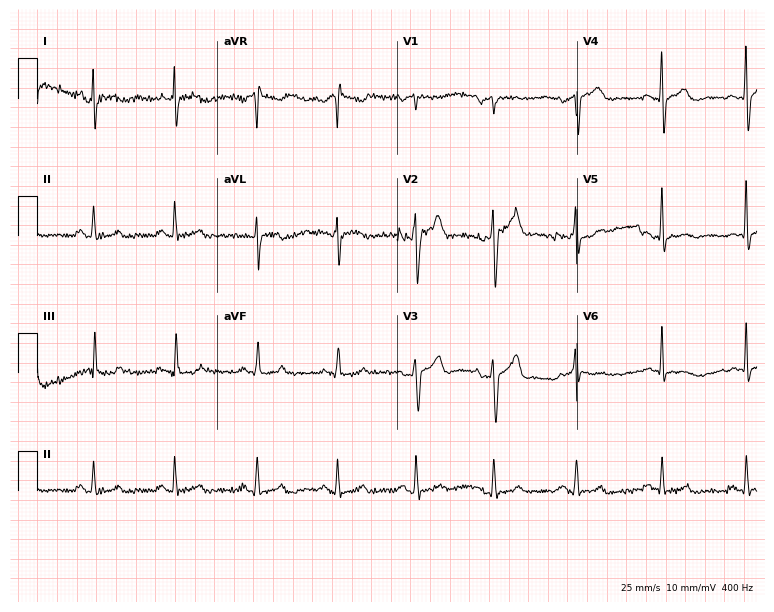
Resting 12-lead electrocardiogram. Patient: a male, 44 years old. None of these six findings is recorded: first-degree AV block, right bundle branch block, left bundle branch block, sinus bradycardia, atrial fibrillation, sinus tachycardia. Other findings, if any, are not listed.